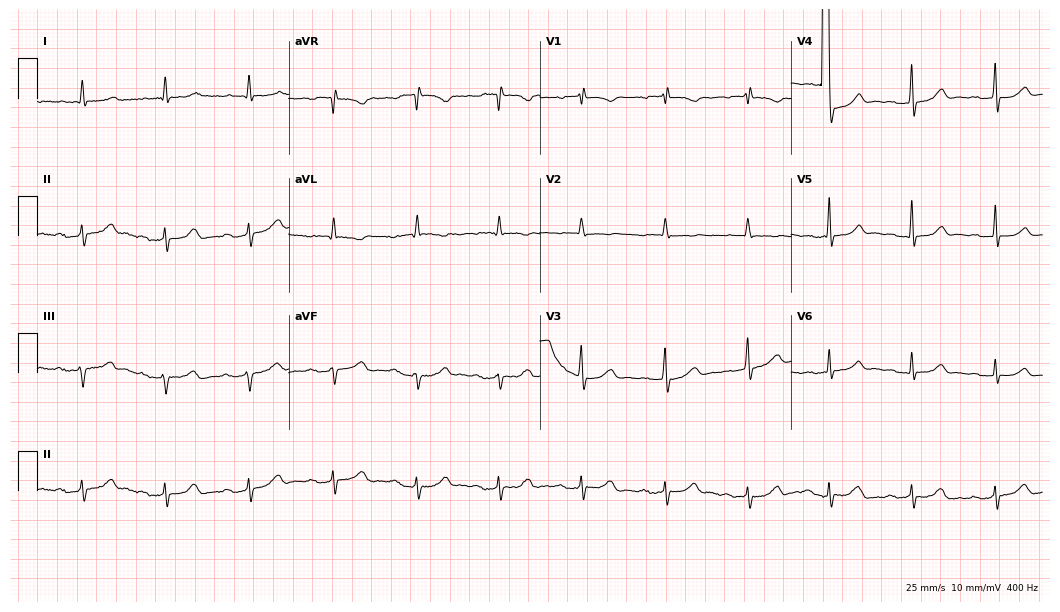
12-lead ECG from an 82-year-old female patient. No first-degree AV block, right bundle branch block, left bundle branch block, sinus bradycardia, atrial fibrillation or sinus tachycardia recorded for this tracing. Other findings, if any, are not listed.